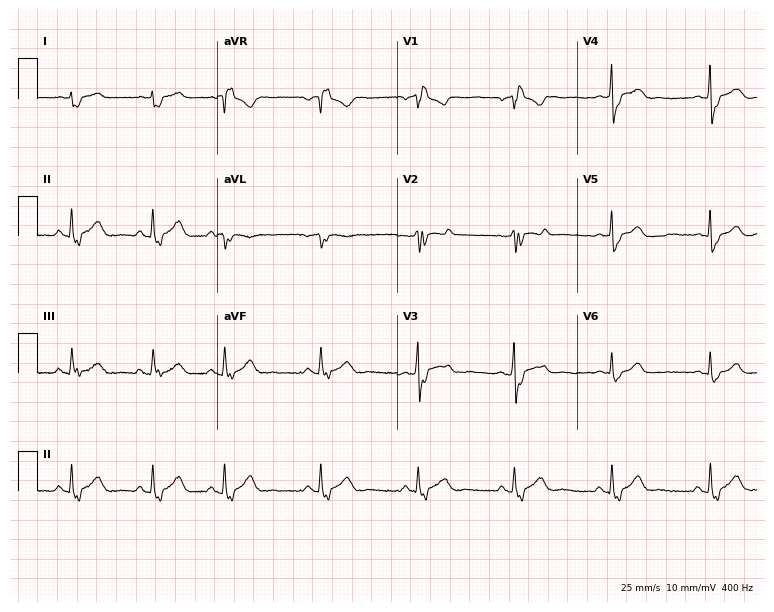
12-lead ECG (7.3-second recording at 400 Hz) from a woman, 38 years old. Findings include right bundle branch block.